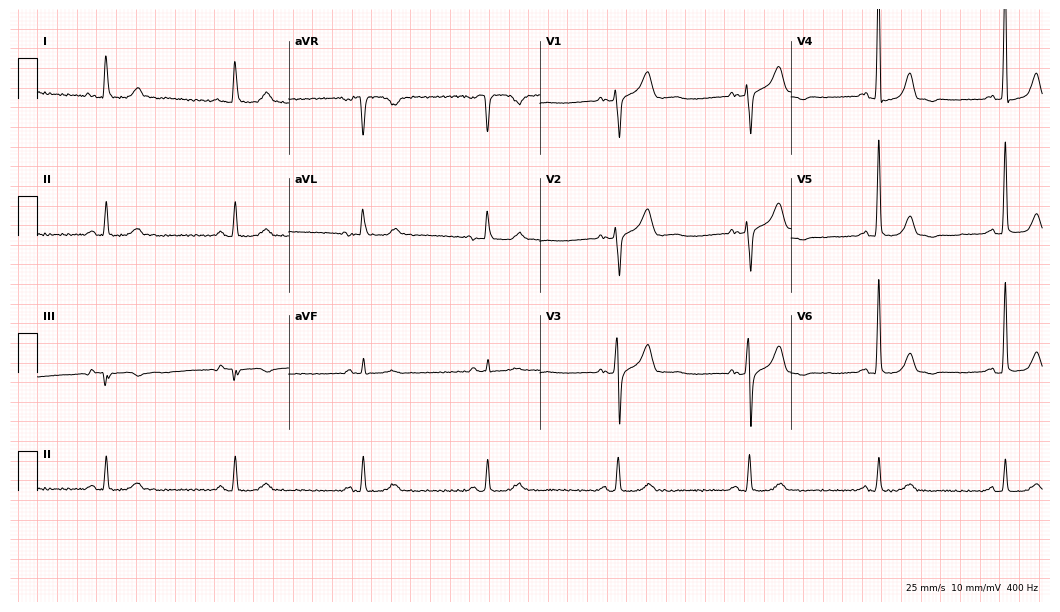
Electrocardiogram (10.2-second recording at 400 Hz), a male, 74 years old. Interpretation includes sinus bradycardia (a sinus rate of 50 beats per minute or less).